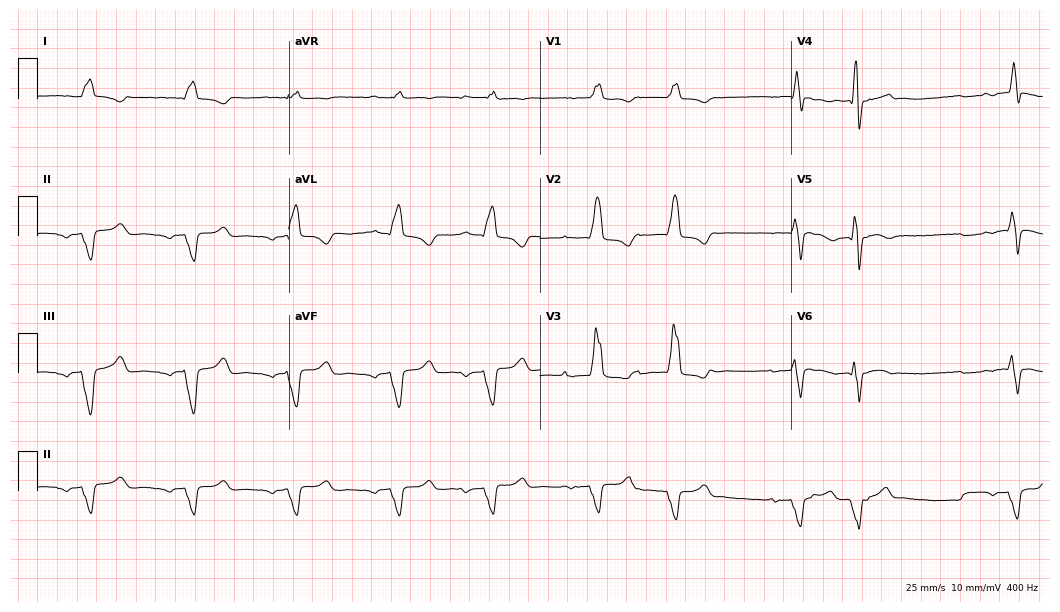
ECG — an 82-year-old male. Findings include right bundle branch block, left bundle branch block.